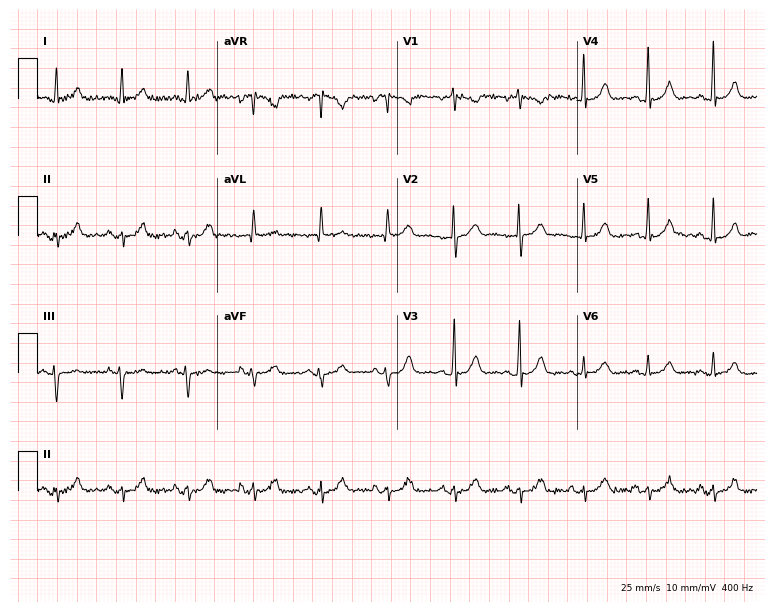
ECG (7.3-second recording at 400 Hz) — a man, 53 years old. Labelled as a normal ECG.